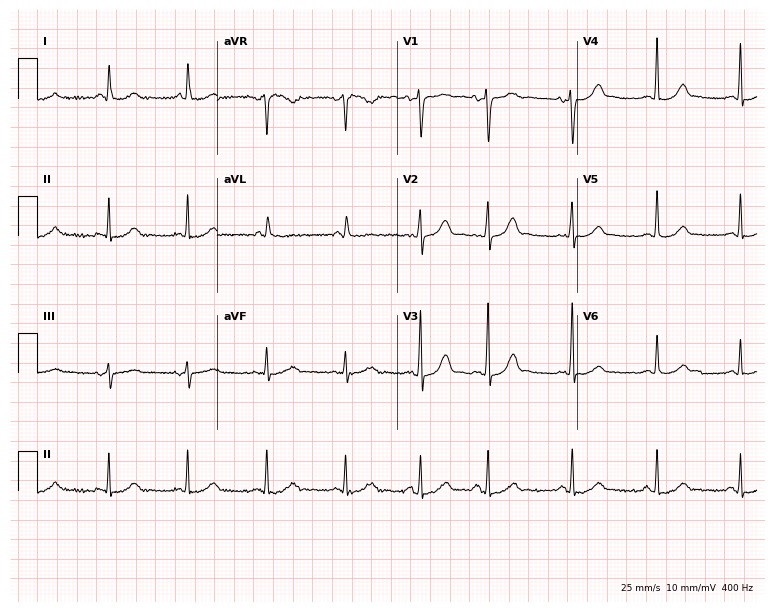
Standard 12-lead ECG recorded from a woman, 35 years old (7.3-second recording at 400 Hz). Read as a normal ECG.